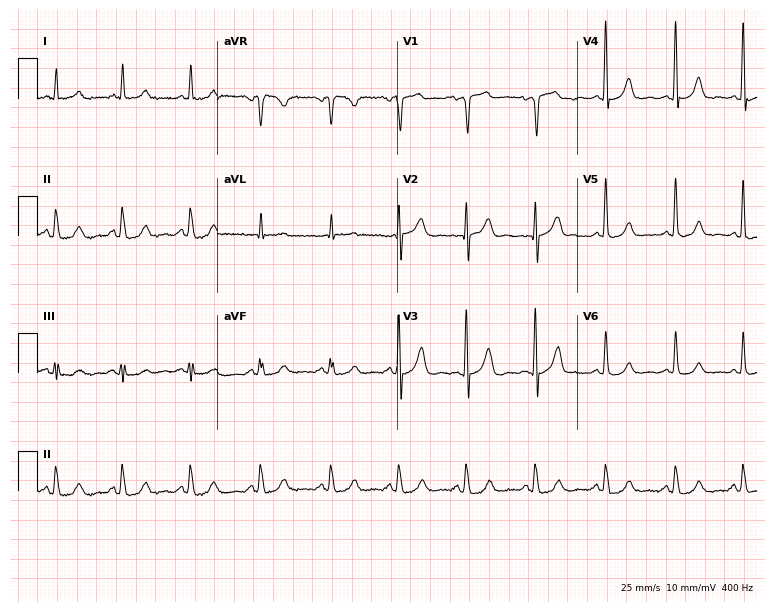
Electrocardiogram (7.3-second recording at 400 Hz), a male, 76 years old. Of the six screened findings (first-degree AV block, right bundle branch block, left bundle branch block, sinus bradycardia, atrial fibrillation, sinus tachycardia), none is recorded. Only these six findings were labelled.